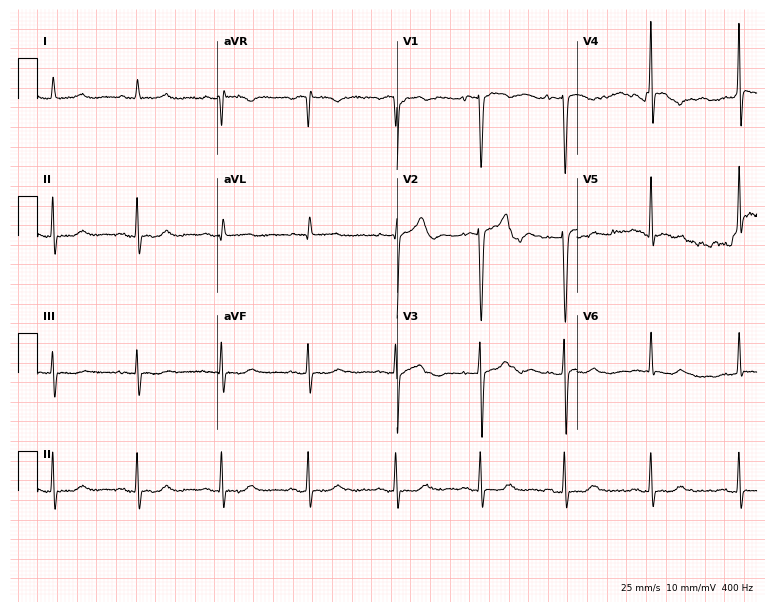
Electrocardiogram (7.3-second recording at 400 Hz), a 45-year-old woman. Overall reading on record: normal ECG.